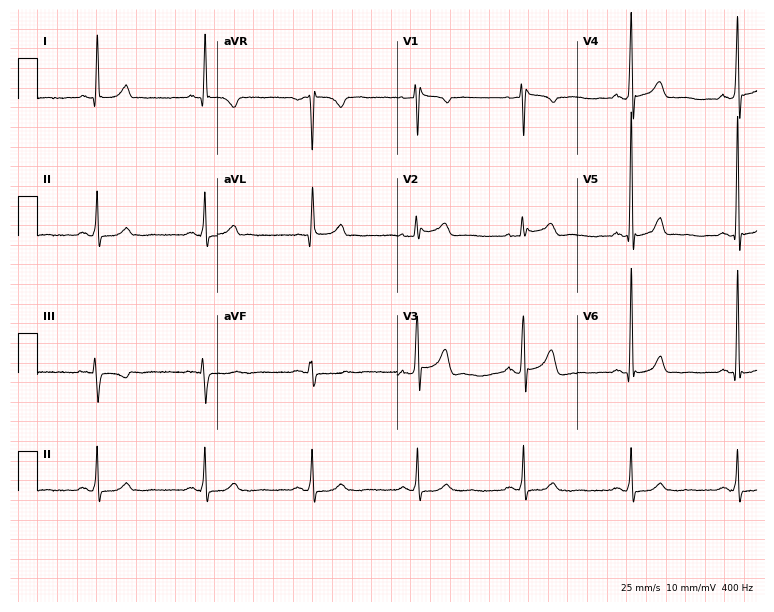
ECG — a male patient, 78 years old. Screened for six findings — first-degree AV block, right bundle branch block (RBBB), left bundle branch block (LBBB), sinus bradycardia, atrial fibrillation (AF), sinus tachycardia — none is recorded.